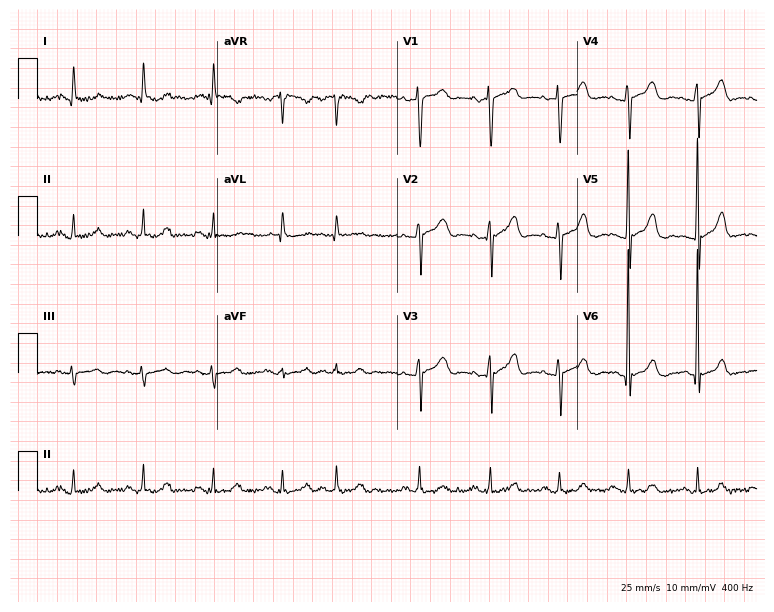
Electrocardiogram, a woman, 84 years old. Of the six screened findings (first-degree AV block, right bundle branch block (RBBB), left bundle branch block (LBBB), sinus bradycardia, atrial fibrillation (AF), sinus tachycardia), none is recorded.